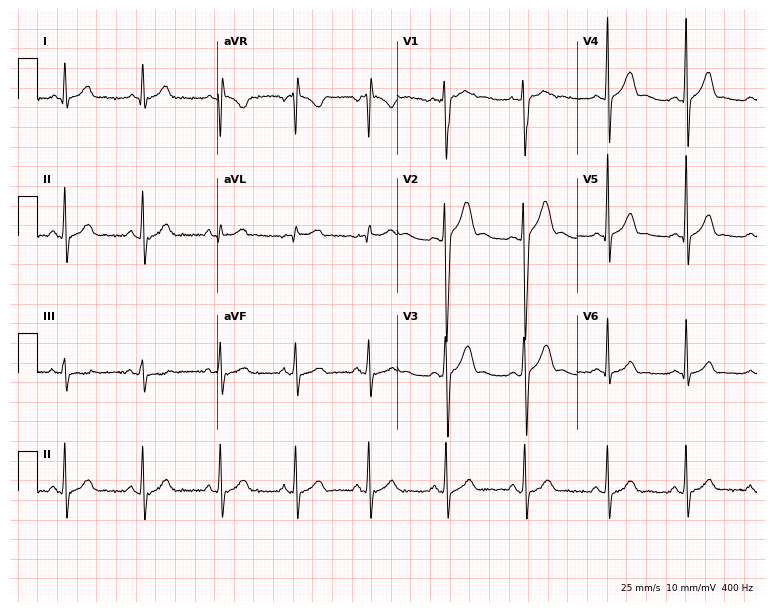
12-lead ECG from a 23-year-old man. No first-degree AV block, right bundle branch block, left bundle branch block, sinus bradycardia, atrial fibrillation or sinus tachycardia recorded for this tracing. Other findings, if any, are not listed.